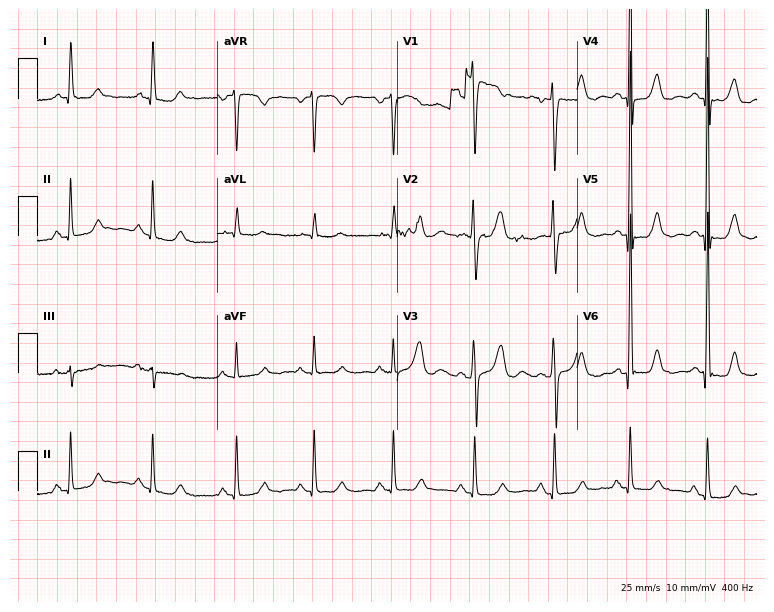
Resting 12-lead electrocardiogram (7.3-second recording at 400 Hz). Patient: a 47-year-old female. None of these six findings is recorded: first-degree AV block, right bundle branch block, left bundle branch block, sinus bradycardia, atrial fibrillation, sinus tachycardia. Findings outside these six are not listed.